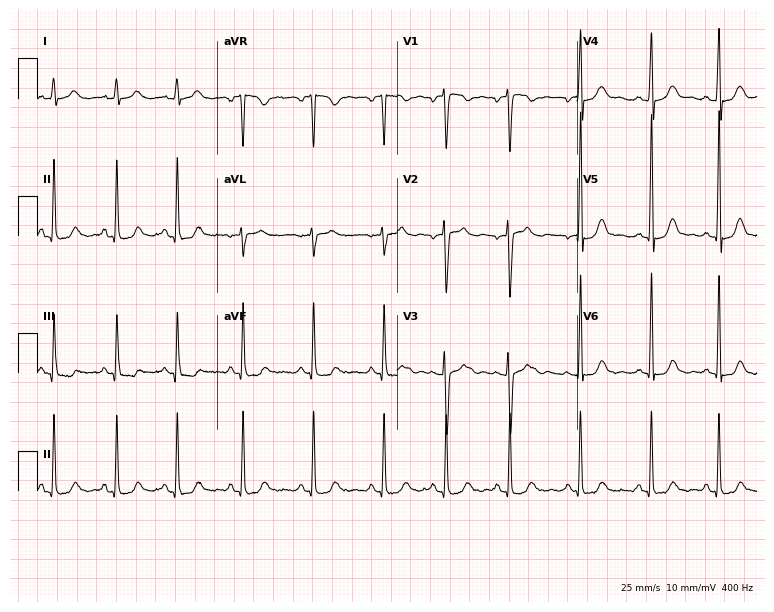
Electrocardiogram, a female, 29 years old. Overall reading on record: normal ECG.